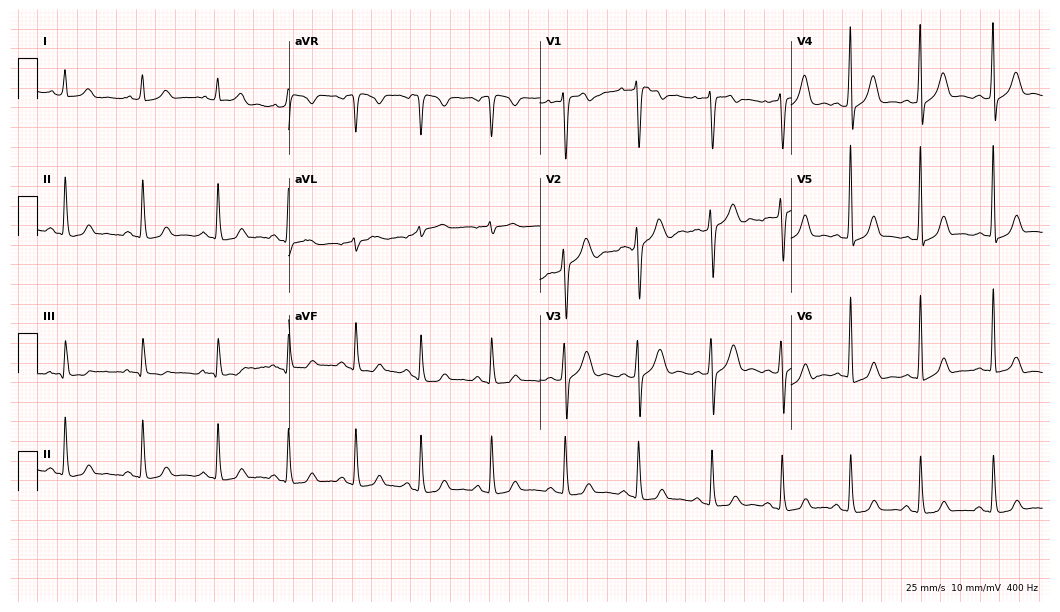
Resting 12-lead electrocardiogram (10.2-second recording at 400 Hz). Patient: a female, 34 years old. Read as a normal ECG.